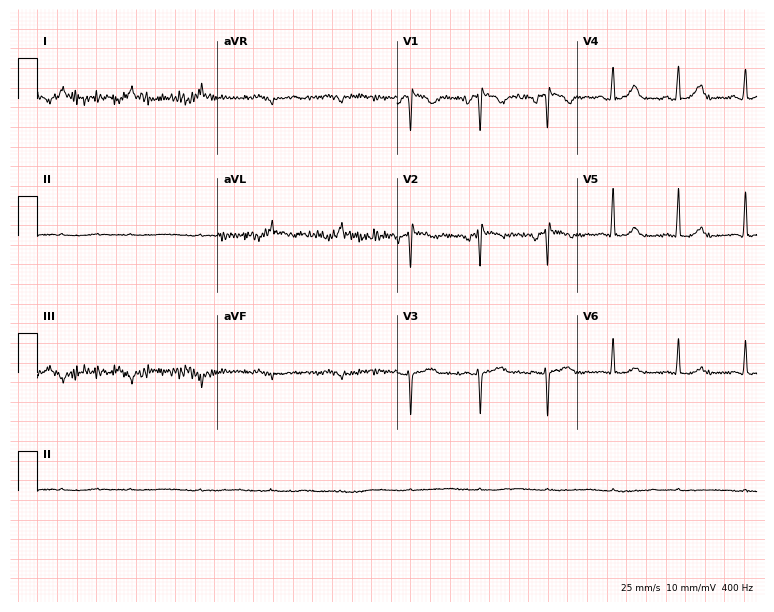
Electrocardiogram, a female, 67 years old. Of the six screened findings (first-degree AV block, right bundle branch block, left bundle branch block, sinus bradycardia, atrial fibrillation, sinus tachycardia), none is recorded. Only these six findings were labelled.